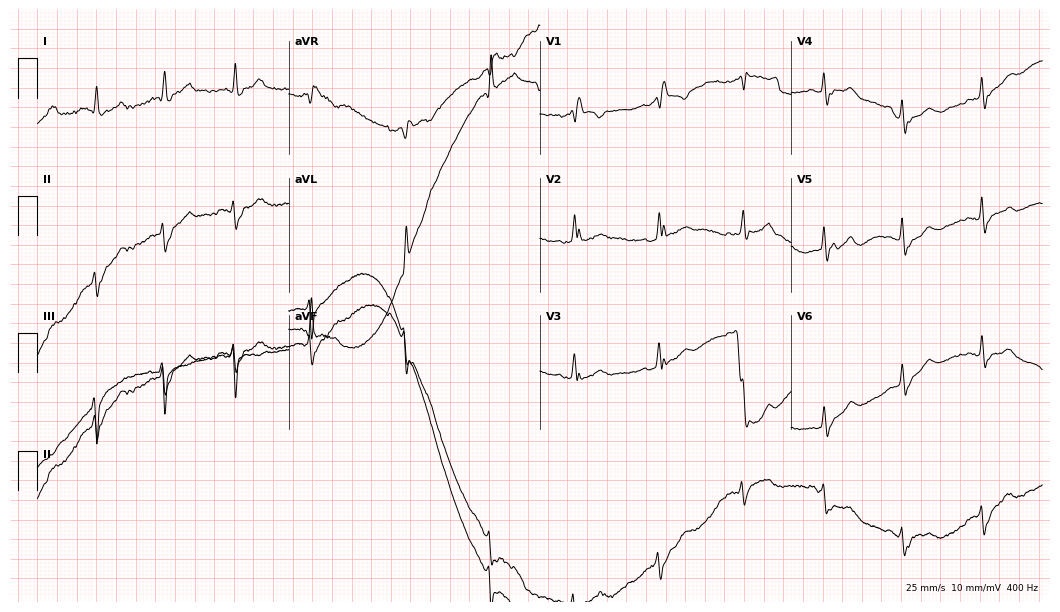
12-lead ECG from a 70-year-old woman (10.2-second recording at 400 Hz). No first-degree AV block, right bundle branch block, left bundle branch block, sinus bradycardia, atrial fibrillation or sinus tachycardia recorded for this tracing.